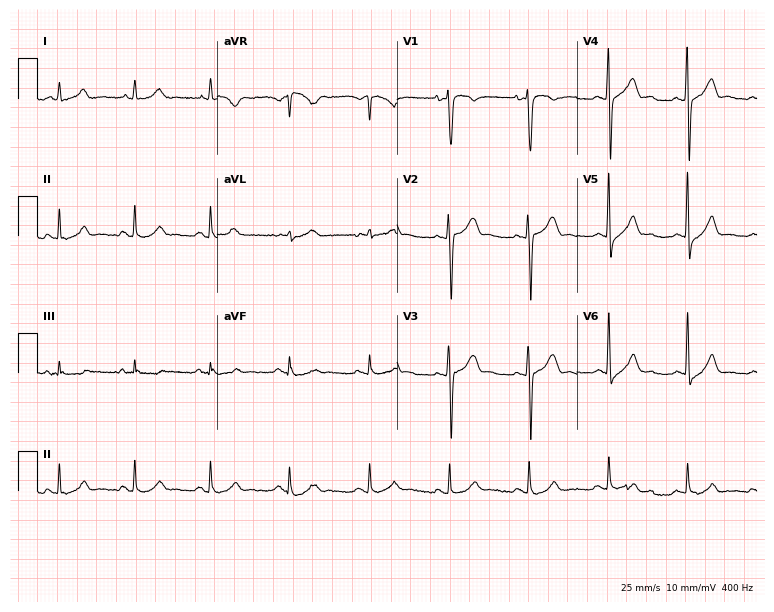
Standard 12-lead ECG recorded from a male, 25 years old (7.3-second recording at 400 Hz). Read as a normal ECG.